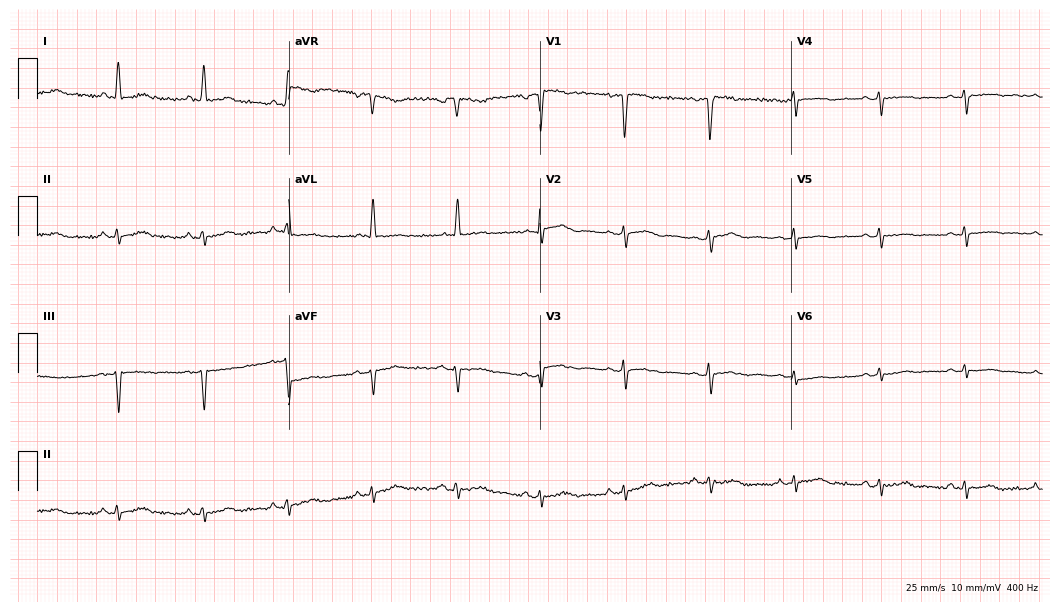
Standard 12-lead ECG recorded from a 68-year-old woman (10.2-second recording at 400 Hz). Read as a normal ECG.